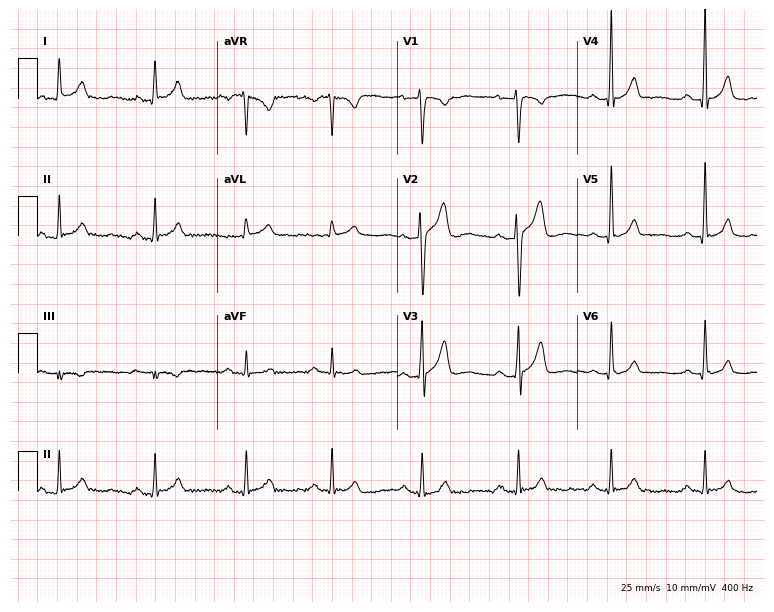
ECG — a male, 41 years old. Labelled as a normal ECG.